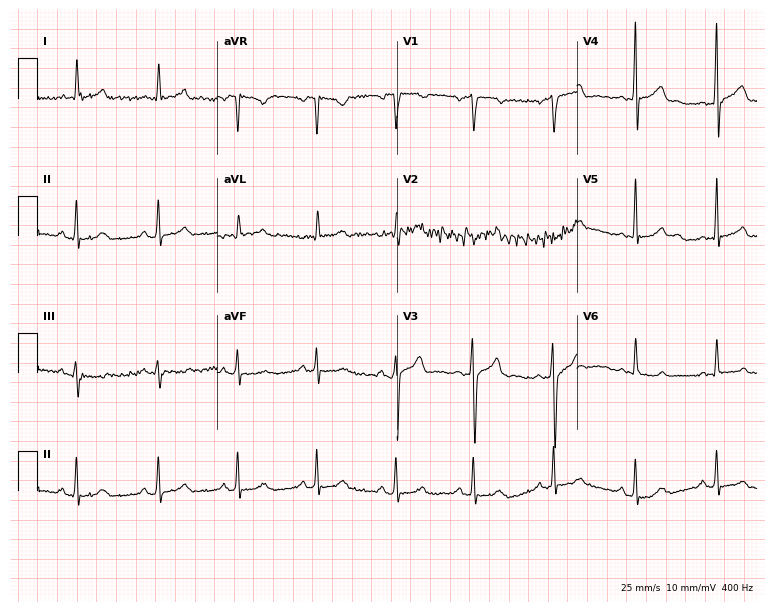
12-lead ECG from a man, 35 years old. No first-degree AV block, right bundle branch block (RBBB), left bundle branch block (LBBB), sinus bradycardia, atrial fibrillation (AF) or sinus tachycardia recorded for this tracing. Only these six findings were labelled.